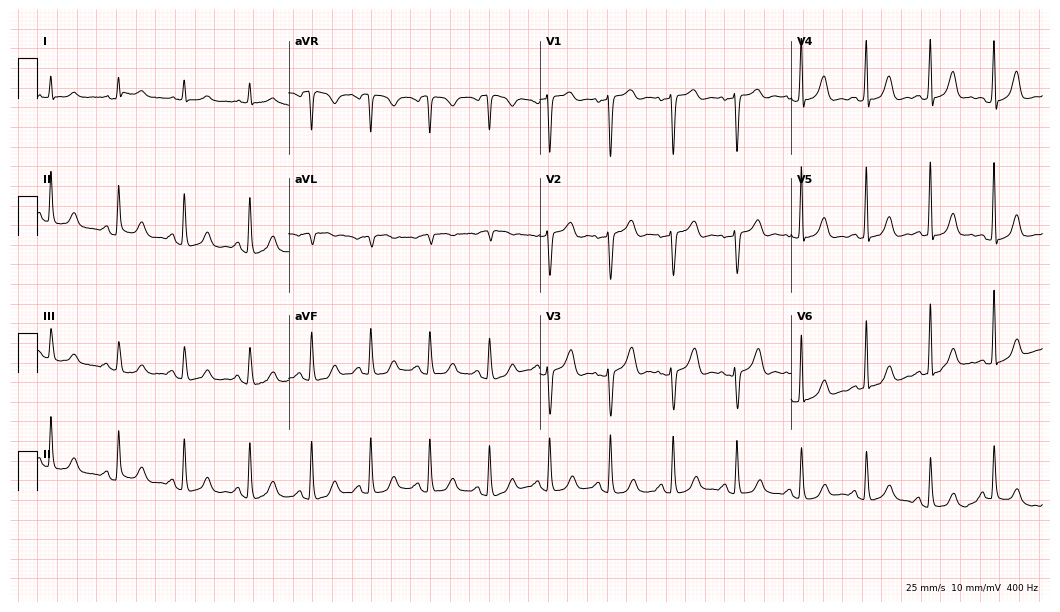
Resting 12-lead electrocardiogram. Patient: a 67-year-old female. Read as a normal ECG.